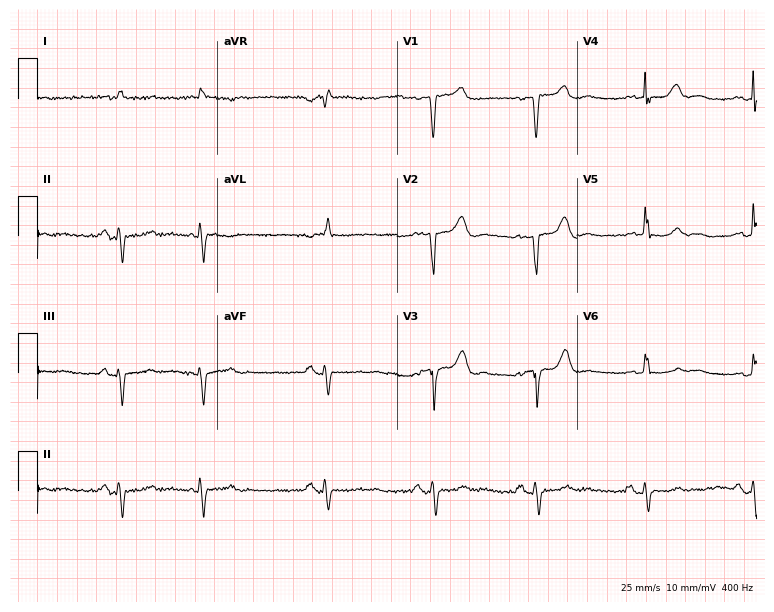
12-lead ECG from a male, 75 years old. No first-degree AV block, right bundle branch block (RBBB), left bundle branch block (LBBB), sinus bradycardia, atrial fibrillation (AF) or sinus tachycardia recorded for this tracing. Only these six findings were labelled.